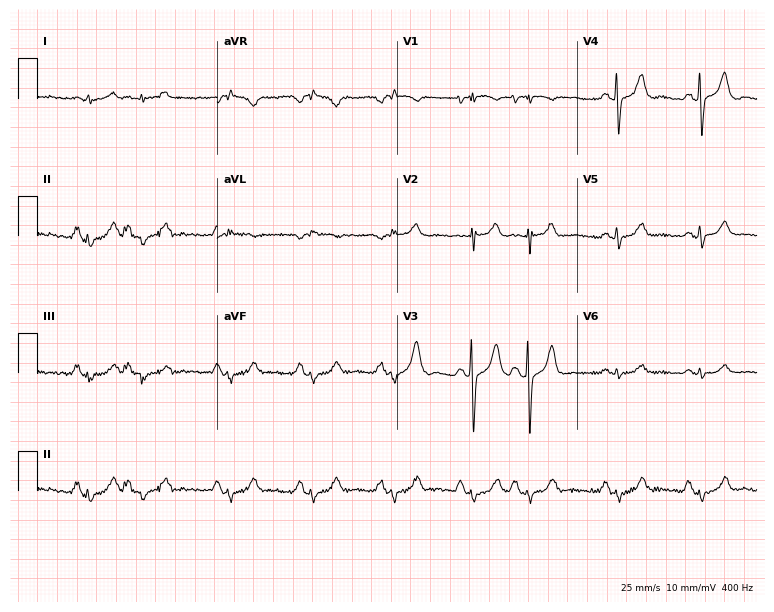
Resting 12-lead electrocardiogram (7.3-second recording at 400 Hz). Patient: an 83-year-old male. None of these six findings is recorded: first-degree AV block, right bundle branch block, left bundle branch block, sinus bradycardia, atrial fibrillation, sinus tachycardia. Other findings, if any, are not listed.